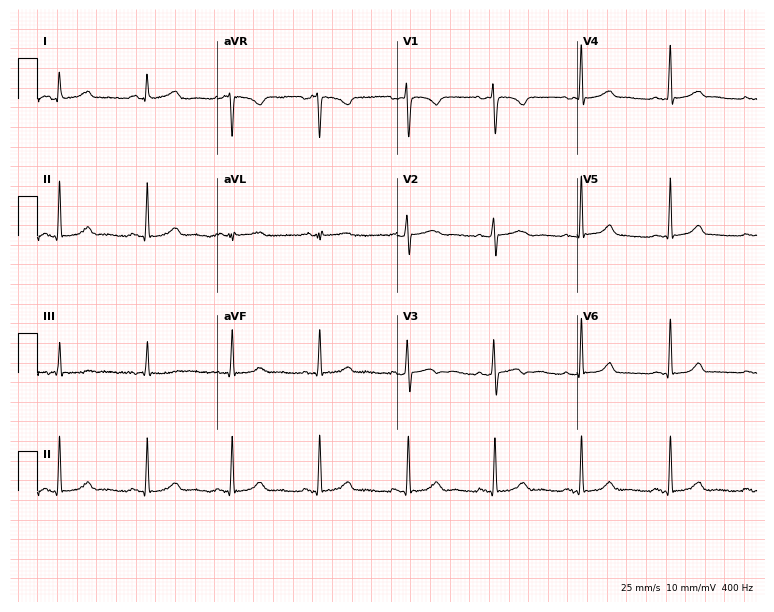
ECG — a 24-year-old female patient. Labelled as a normal ECG.